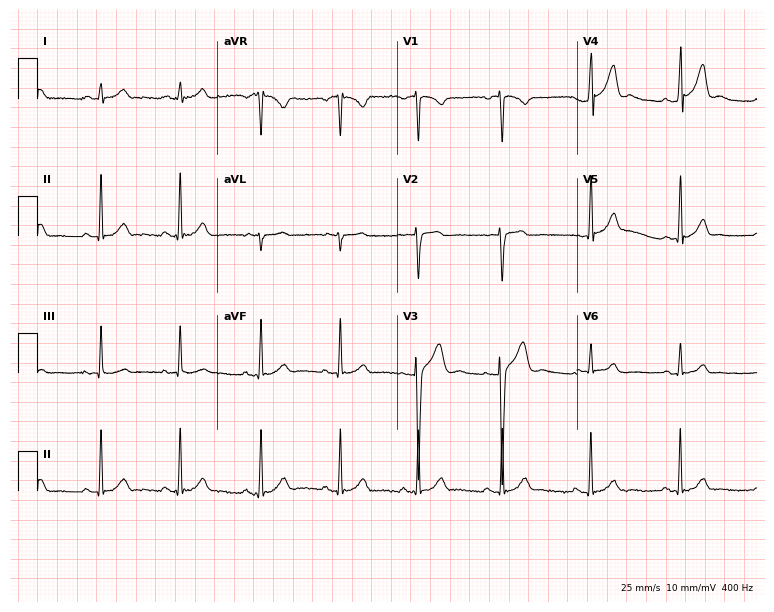
12-lead ECG from a 20-year-old male. Screened for six findings — first-degree AV block, right bundle branch block, left bundle branch block, sinus bradycardia, atrial fibrillation, sinus tachycardia — none is recorded.